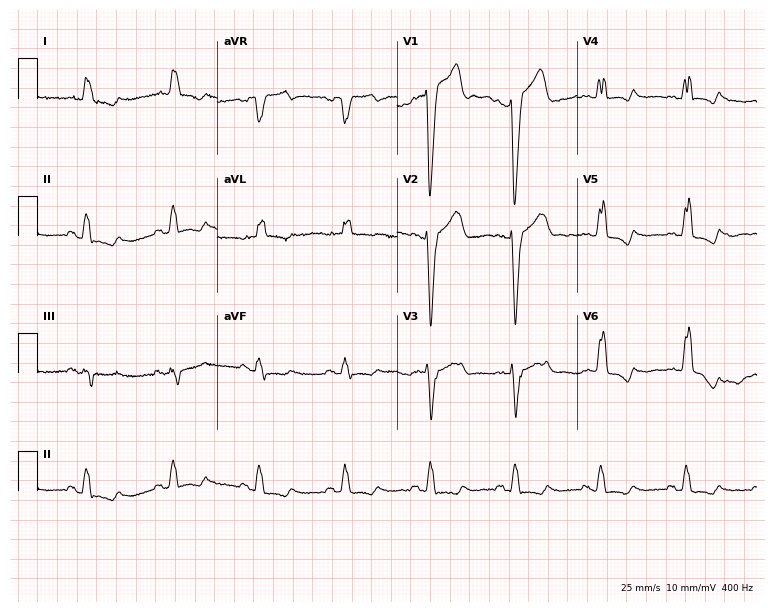
Resting 12-lead electrocardiogram (7.3-second recording at 400 Hz). Patient: a 72-year-old male. The tracing shows left bundle branch block.